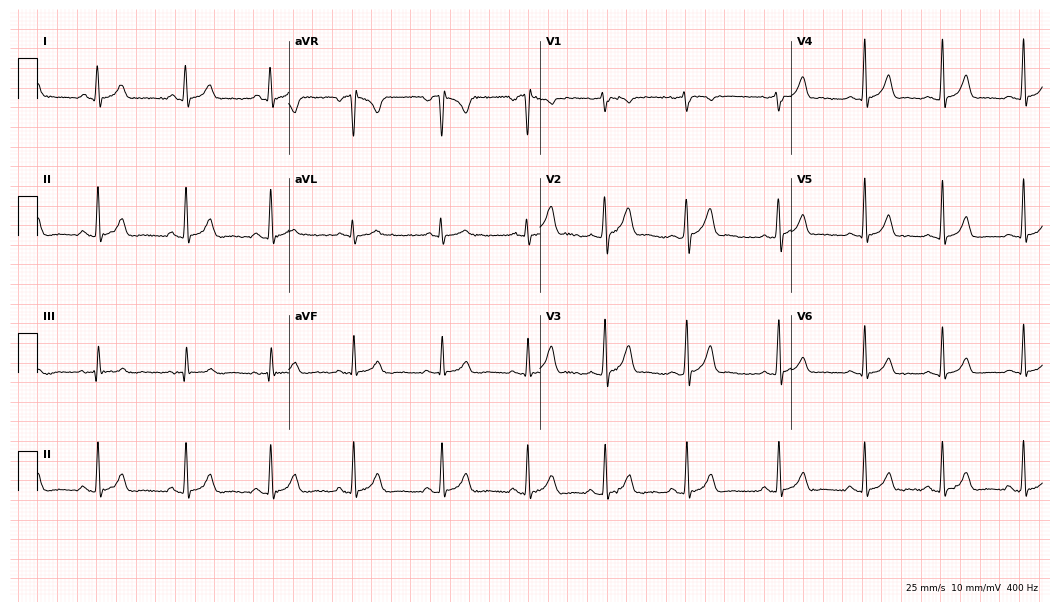
Standard 12-lead ECG recorded from a female patient, 17 years old. Read as a normal ECG.